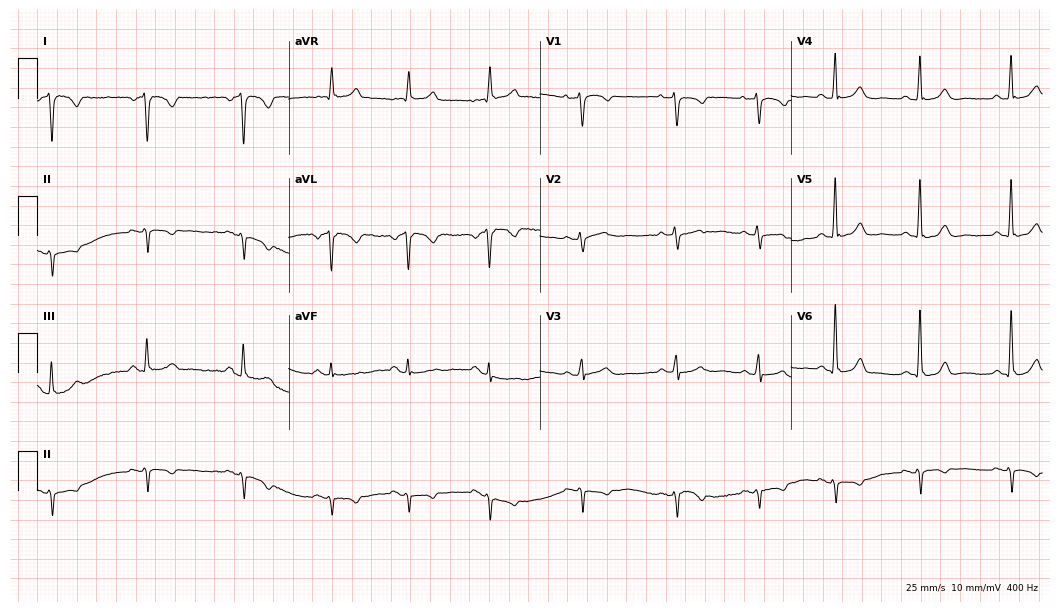
12-lead ECG from a 23-year-old male. No first-degree AV block, right bundle branch block (RBBB), left bundle branch block (LBBB), sinus bradycardia, atrial fibrillation (AF) or sinus tachycardia recorded for this tracing. Other findings, if any, are not listed.